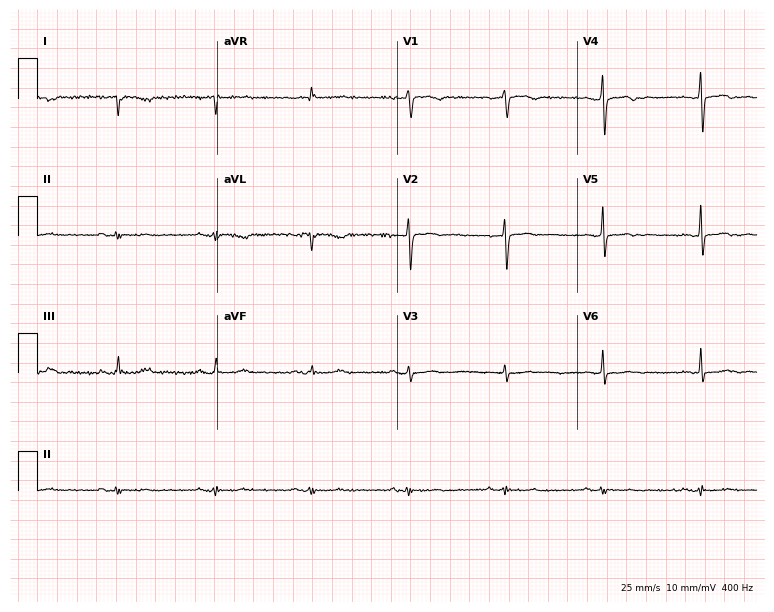
12-lead ECG (7.3-second recording at 400 Hz) from an 81-year-old woman. Screened for six findings — first-degree AV block, right bundle branch block (RBBB), left bundle branch block (LBBB), sinus bradycardia, atrial fibrillation (AF), sinus tachycardia — none is recorded. Other findings, if any, are not listed.